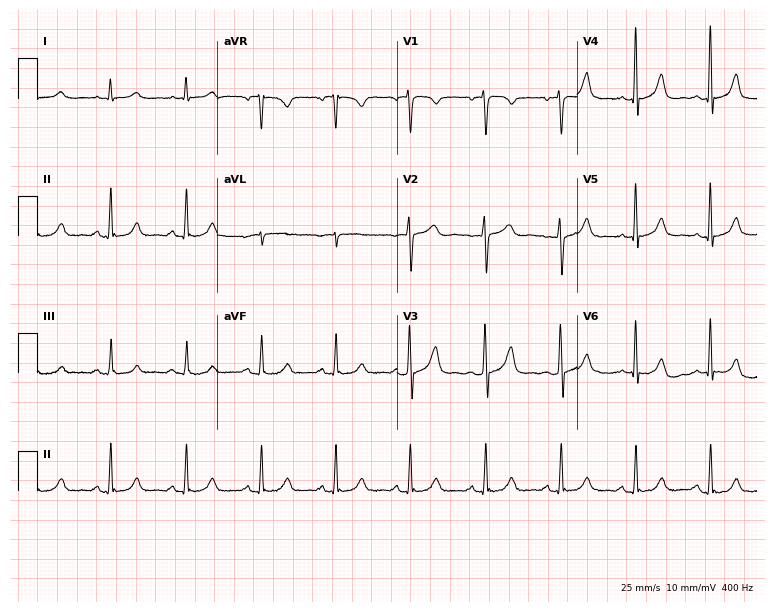
Electrocardiogram, a female, 49 years old. Overall reading on record: normal ECG.